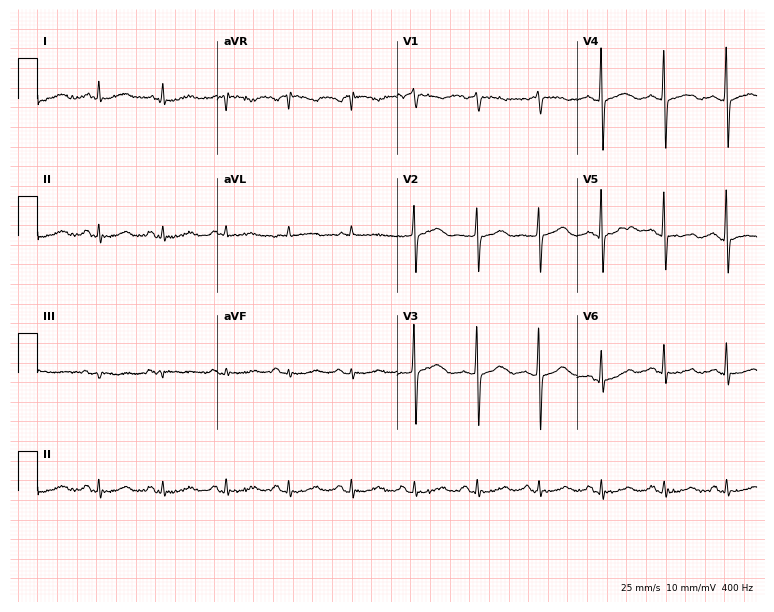
12-lead ECG from a male patient, 83 years old. No first-degree AV block, right bundle branch block (RBBB), left bundle branch block (LBBB), sinus bradycardia, atrial fibrillation (AF) or sinus tachycardia recorded for this tracing. Findings outside these six are not listed.